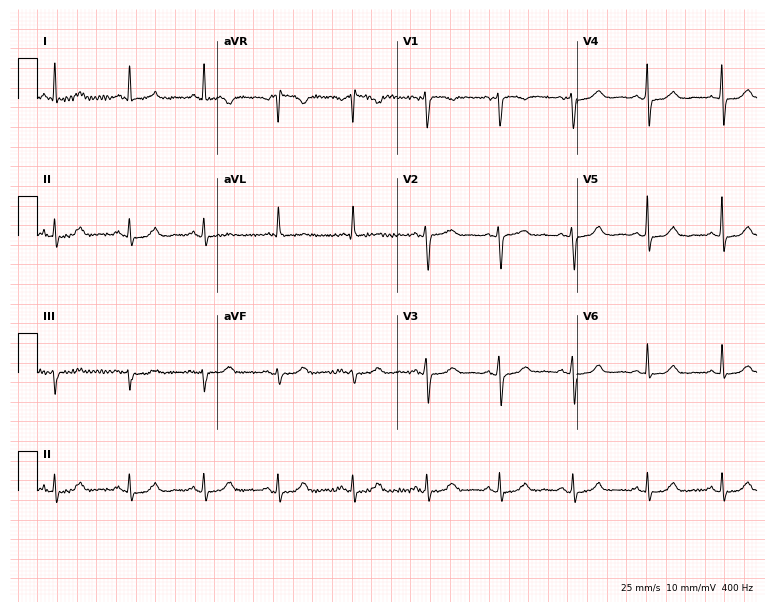
12-lead ECG from a 71-year-old woman. Labelled as a normal ECG.